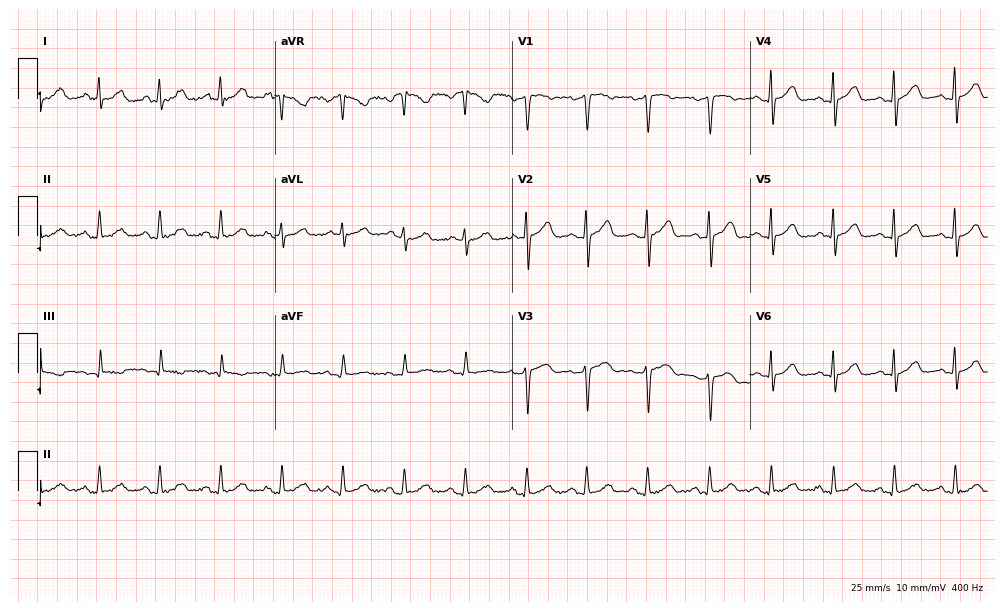
Electrocardiogram (9.7-second recording at 400 Hz), a 63-year-old female. Overall reading on record: normal ECG.